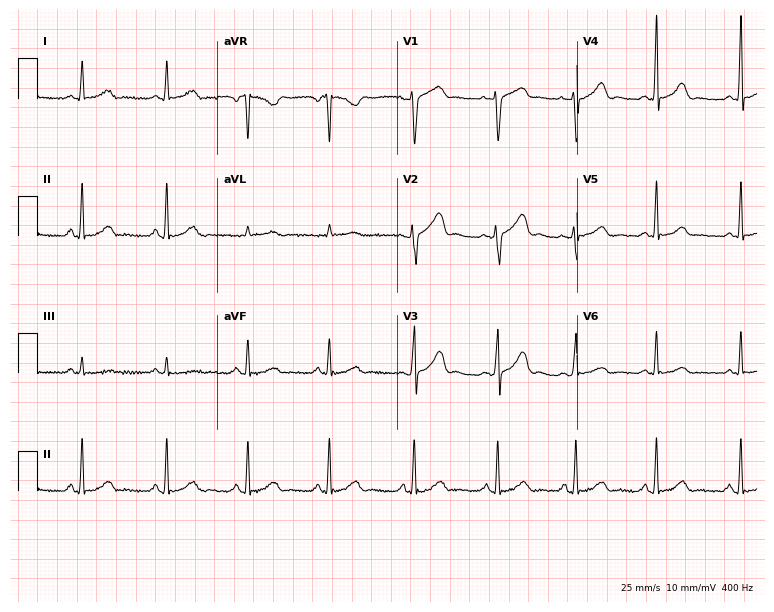
Standard 12-lead ECG recorded from a 32-year-old female (7.3-second recording at 400 Hz). Read as a normal ECG.